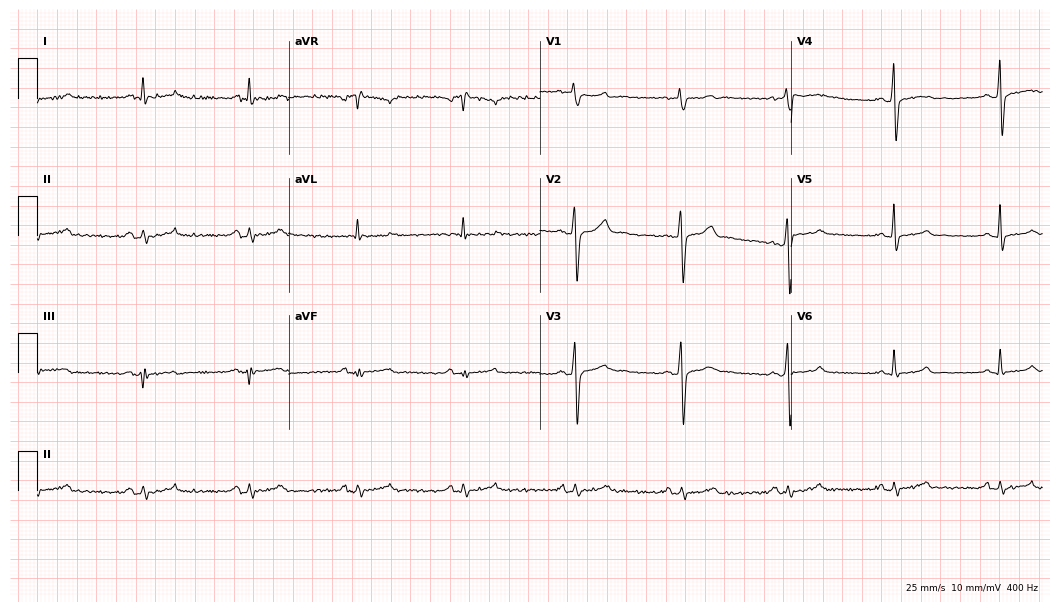
12-lead ECG from a male patient, 40 years old. Screened for six findings — first-degree AV block, right bundle branch block, left bundle branch block, sinus bradycardia, atrial fibrillation, sinus tachycardia — none is recorded. Other findings, if any, are not listed.